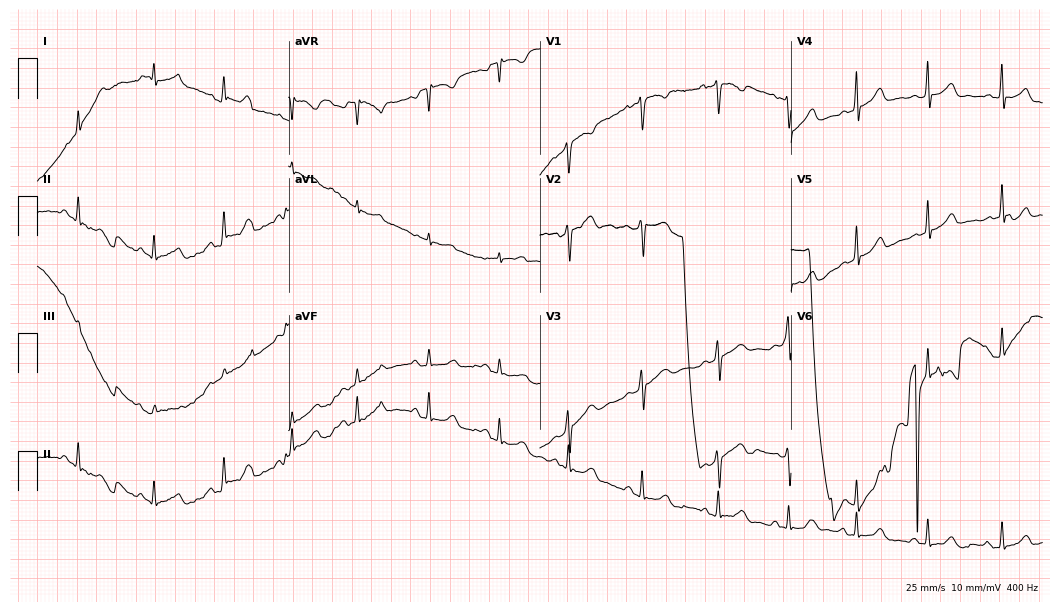
Standard 12-lead ECG recorded from a woman, 20 years old. None of these six findings is recorded: first-degree AV block, right bundle branch block, left bundle branch block, sinus bradycardia, atrial fibrillation, sinus tachycardia.